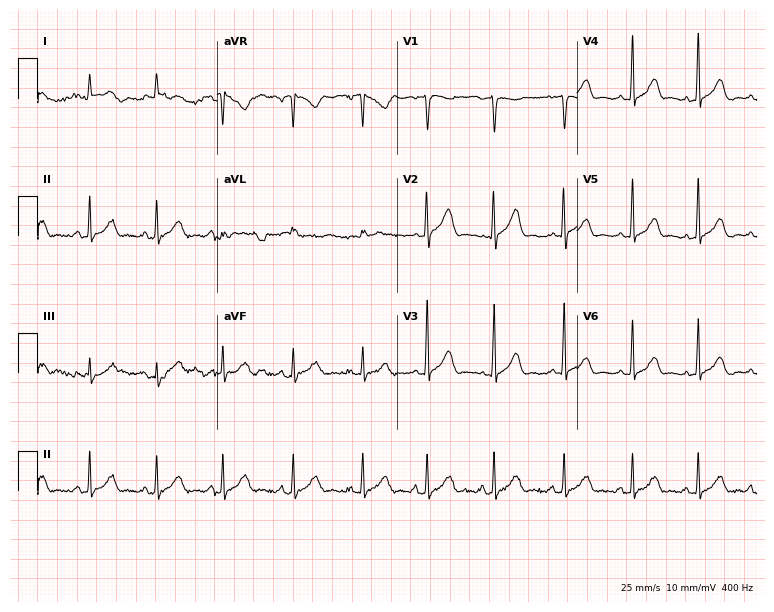
Standard 12-lead ECG recorded from a woman, 30 years old. Read as a normal ECG.